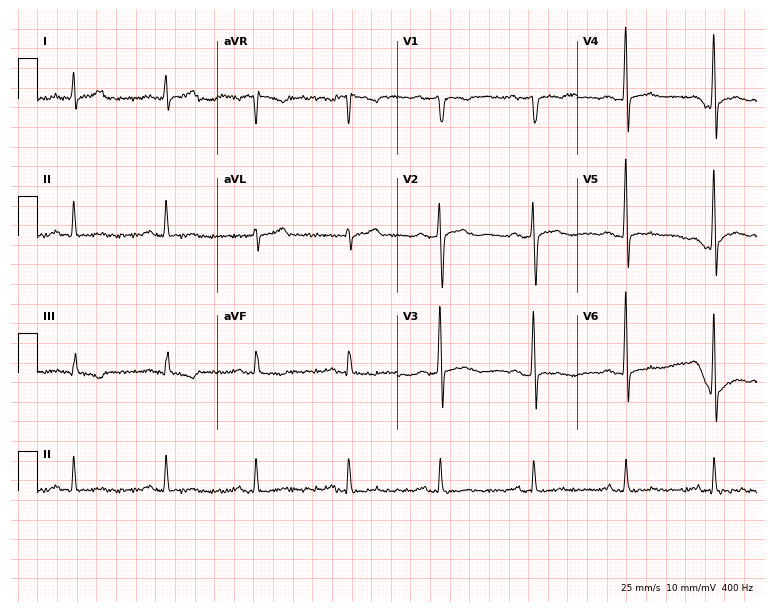
12-lead ECG from a 53-year-old male. No first-degree AV block, right bundle branch block, left bundle branch block, sinus bradycardia, atrial fibrillation or sinus tachycardia recorded for this tracing. Only these six findings were labelled.